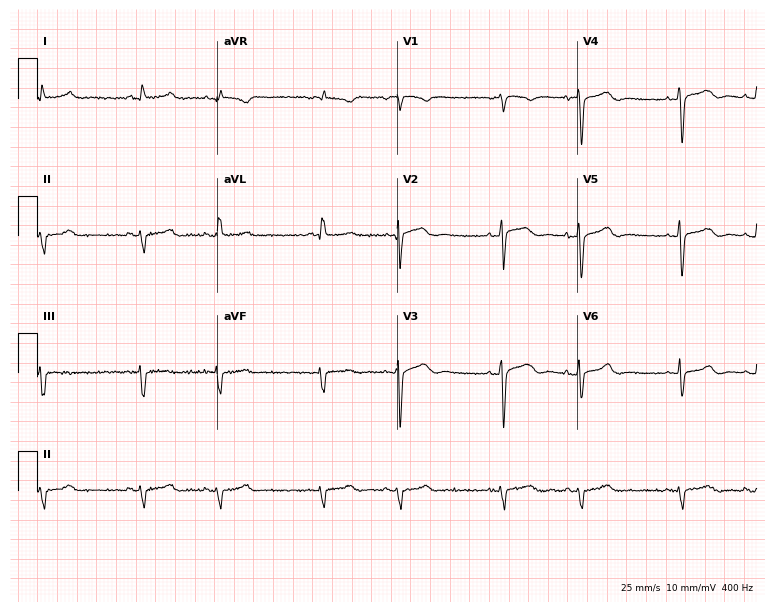
Electrocardiogram (7.3-second recording at 400 Hz), a male, 73 years old. Of the six screened findings (first-degree AV block, right bundle branch block (RBBB), left bundle branch block (LBBB), sinus bradycardia, atrial fibrillation (AF), sinus tachycardia), none is recorded.